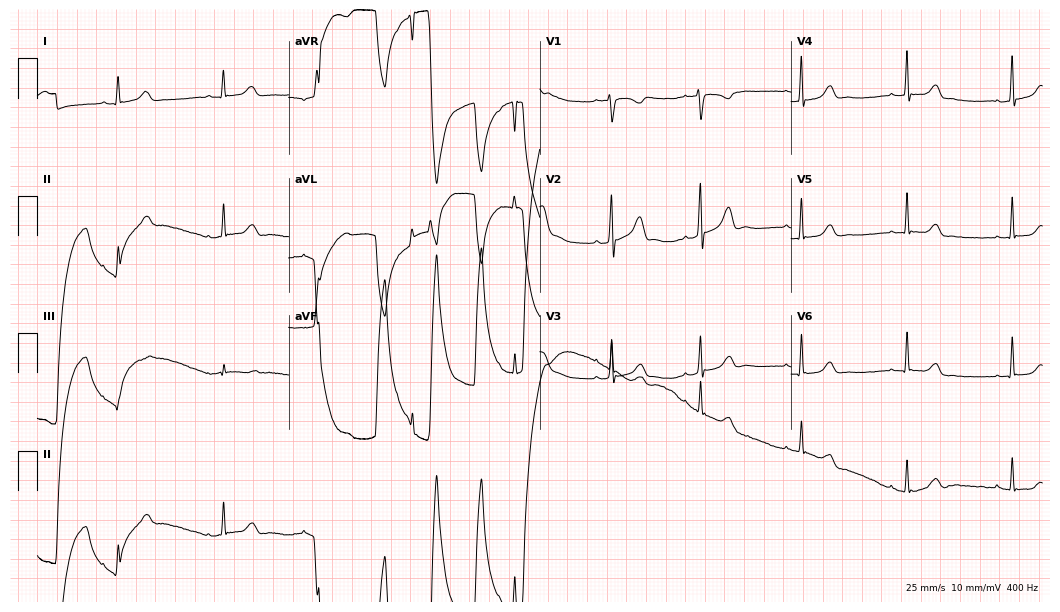
12-lead ECG from a 25-year-old female. Recorded interpretation: within normal limits.